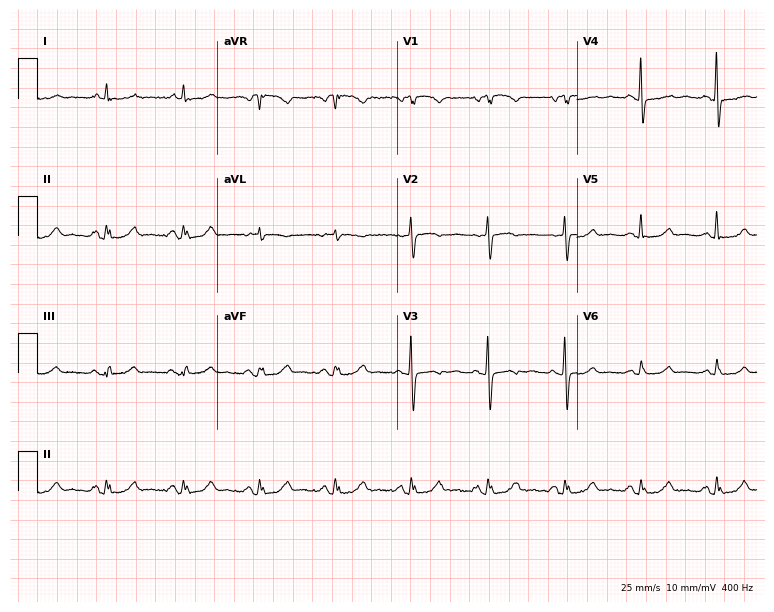
Standard 12-lead ECG recorded from a woman, 61 years old (7.3-second recording at 400 Hz). None of these six findings is recorded: first-degree AV block, right bundle branch block, left bundle branch block, sinus bradycardia, atrial fibrillation, sinus tachycardia. Only these six findings were labelled.